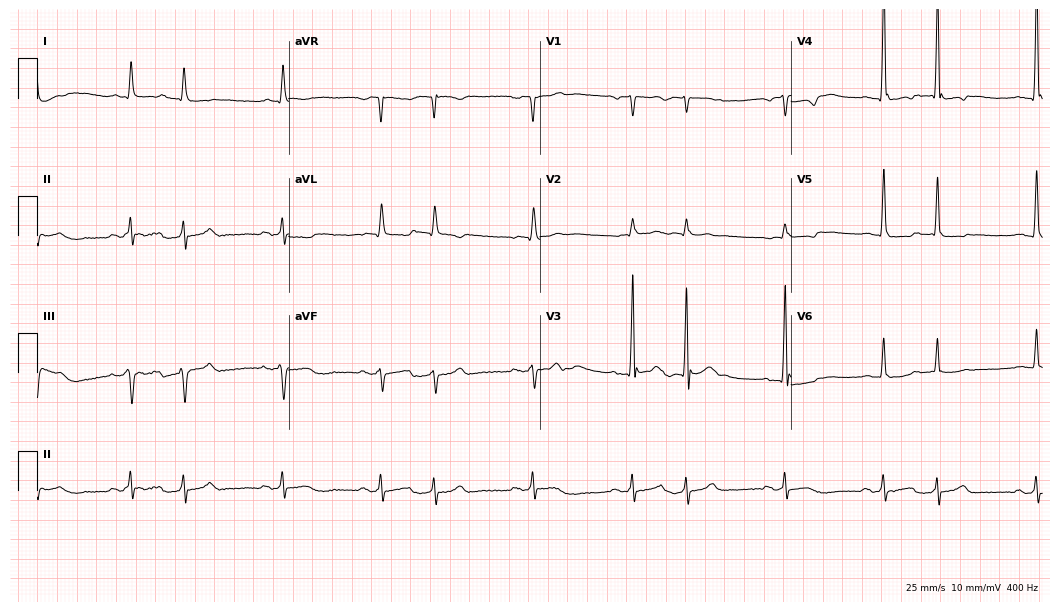
Standard 12-lead ECG recorded from a male, 79 years old. None of these six findings is recorded: first-degree AV block, right bundle branch block, left bundle branch block, sinus bradycardia, atrial fibrillation, sinus tachycardia.